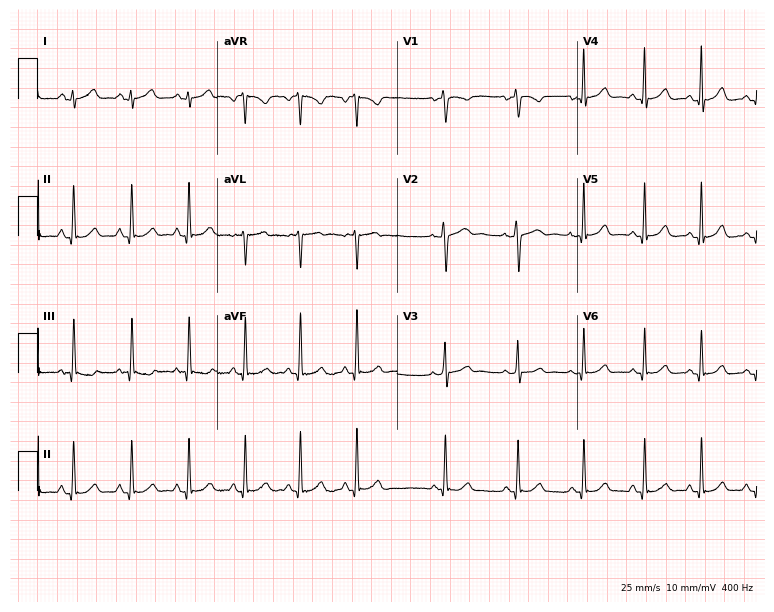
12-lead ECG from a female patient, 31 years old. Screened for six findings — first-degree AV block, right bundle branch block, left bundle branch block, sinus bradycardia, atrial fibrillation, sinus tachycardia — none is recorded.